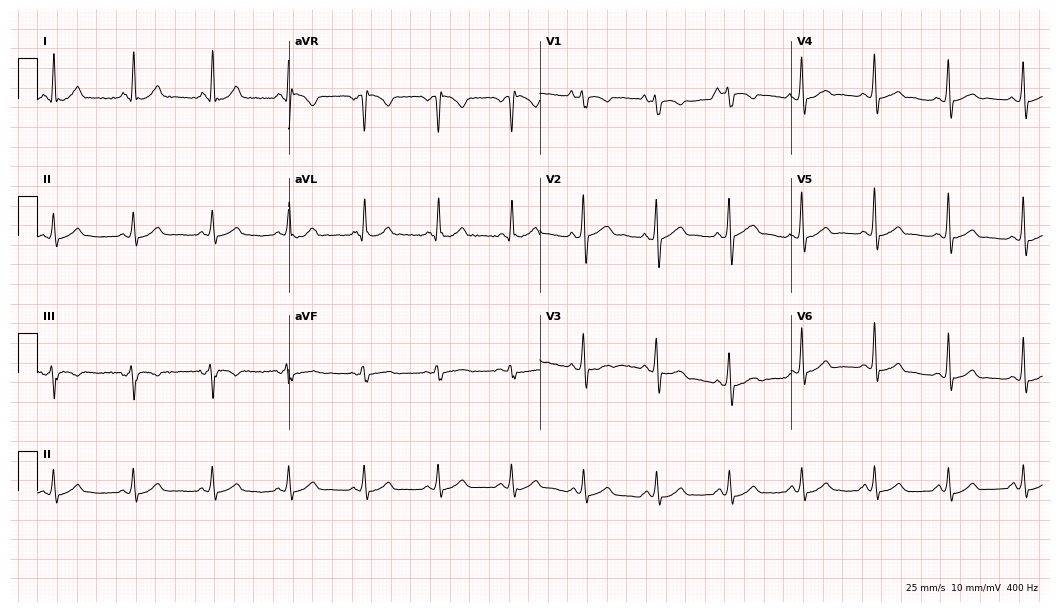
Resting 12-lead electrocardiogram. Patient: a 23-year-old male. Read as a normal ECG.